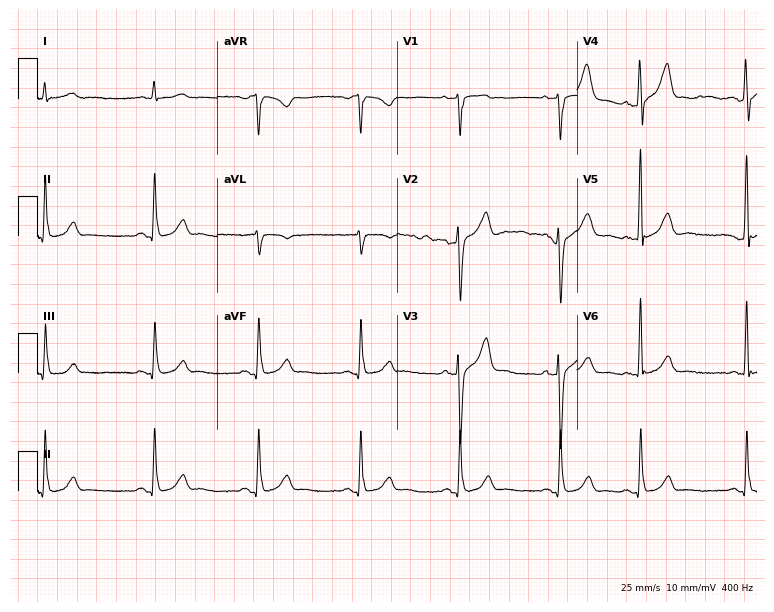
ECG — a male patient, 71 years old. Screened for six findings — first-degree AV block, right bundle branch block, left bundle branch block, sinus bradycardia, atrial fibrillation, sinus tachycardia — none is recorded.